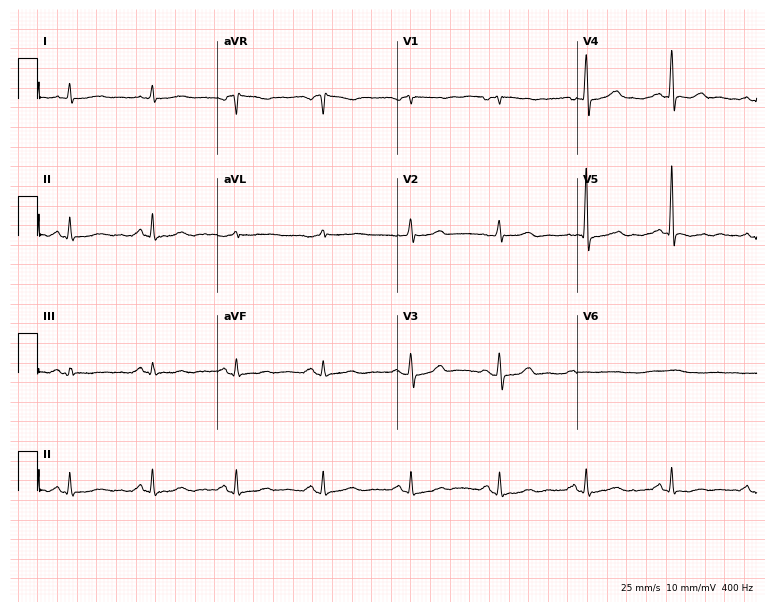
ECG — a 62-year-old woman. Screened for six findings — first-degree AV block, right bundle branch block, left bundle branch block, sinus bradycardia, atrial fibrillation, sinus tachycardia — none is recorded.